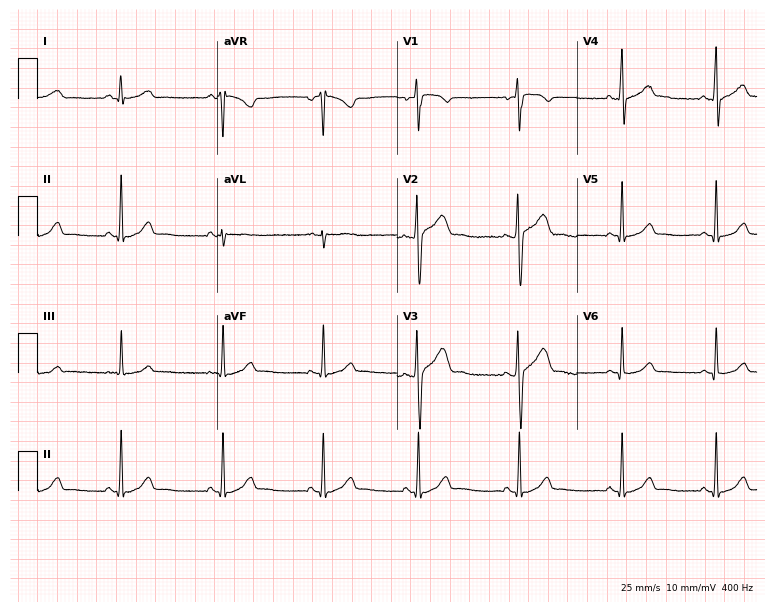
ECG (7.3-second recording at 400 Hz) — a 24-year-old male. Labelled as a normal ECG.